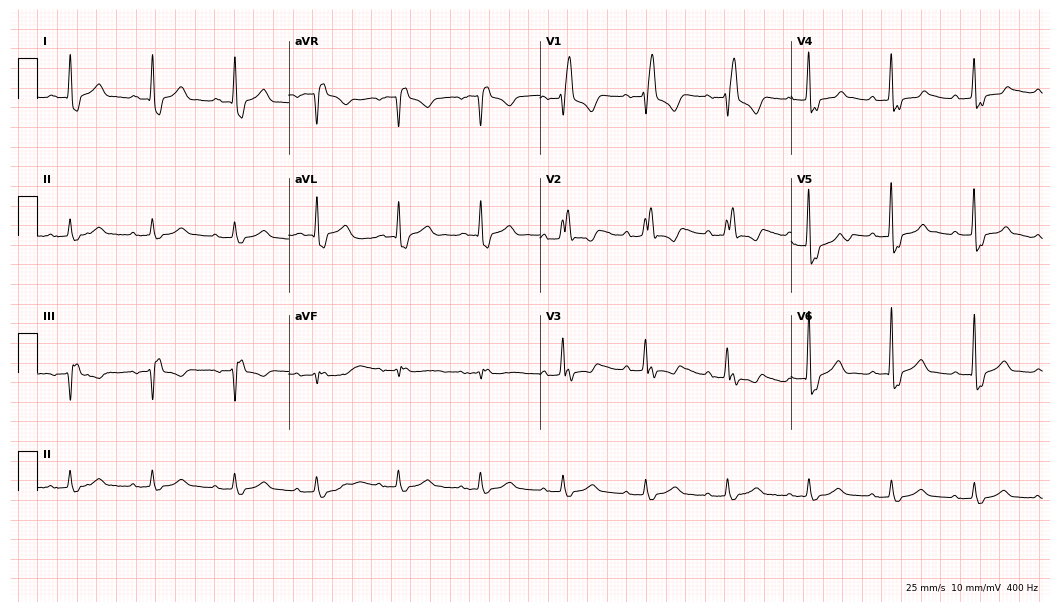
ECG — a male, 58 years old. Findings include right bundle branch block (RBBB).